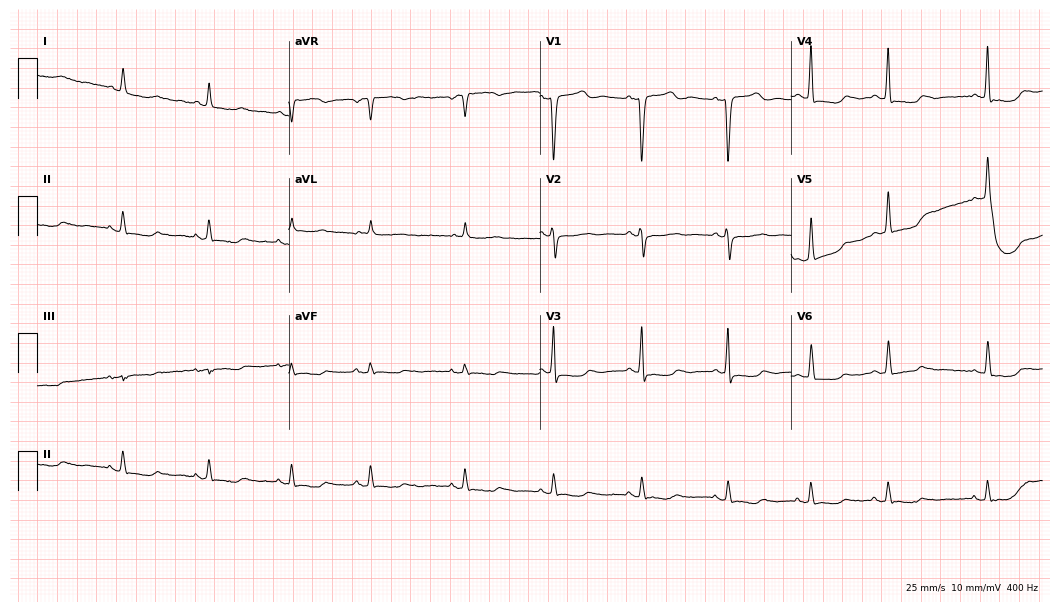
ECG — a 69-year-old woman. Screened for six findings — first-degree AV block, right bundle branch block (RBBB), left bundle branch block (LBBB), sinus bradycardia, atrial fibrillation (AF), sinus tachycardia — none is recorded.